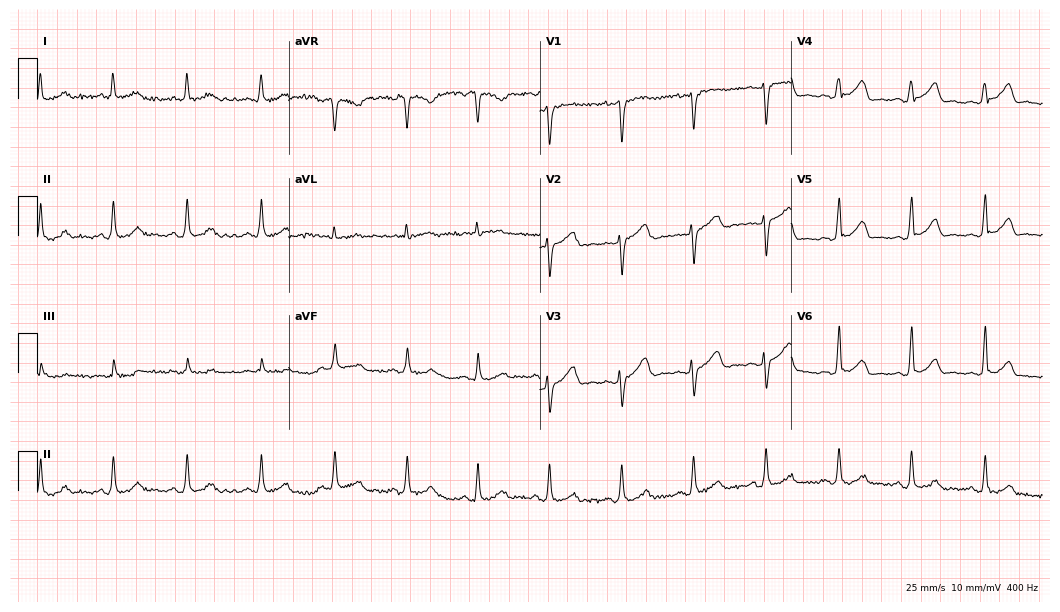
Standard 12-lead ECG recorded from a female patient, 54 years old (10.2-second recording at 400 Hz). Read as a normal ECG.